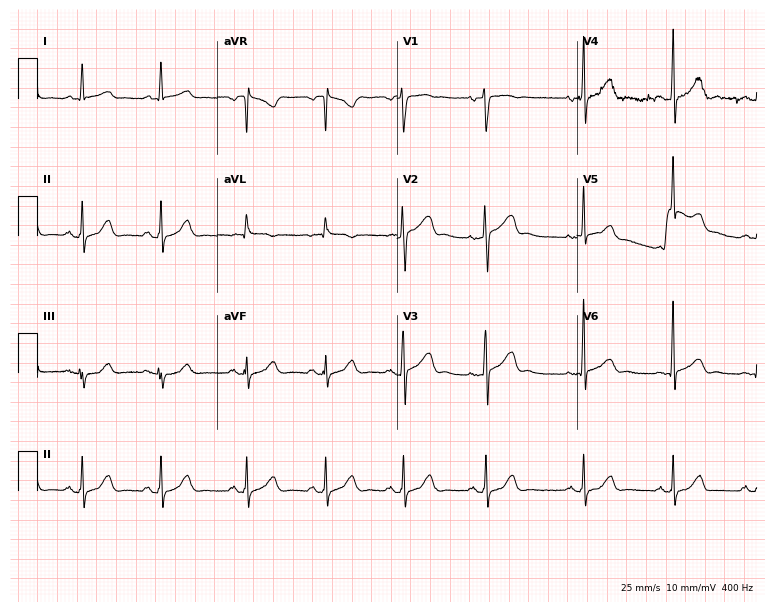
ECG (7.3-second recording at 400 Hz) — a woman, 62 years old. Labelled as a normal ECG.